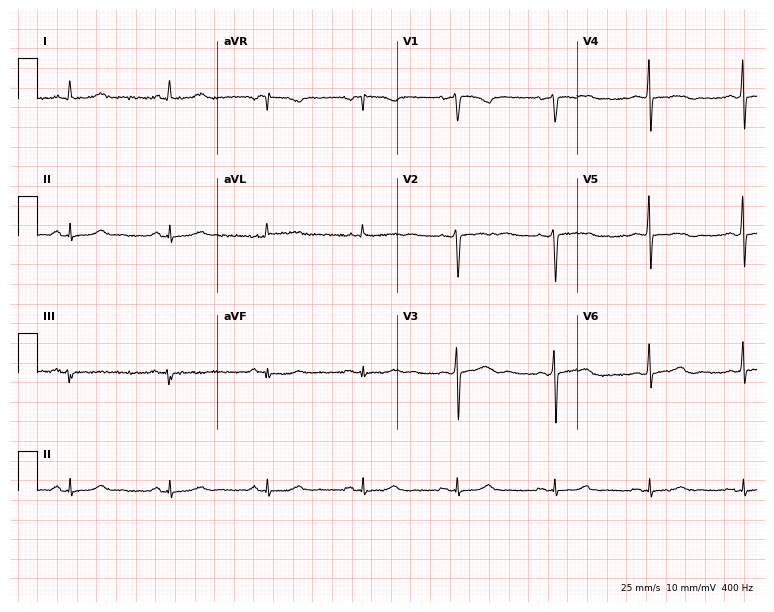
Resting 12-lead electrocardiogram (7.3-second recording at 400 Hz). Patient: a woman, 58 years old. None of these six findings is recorded: first-degree AV block, right bundle branch block (RBBB), left bundle branch block (LBBB), sinus bradycardia, atrial fibrillation (AF), sinus tachycardia.